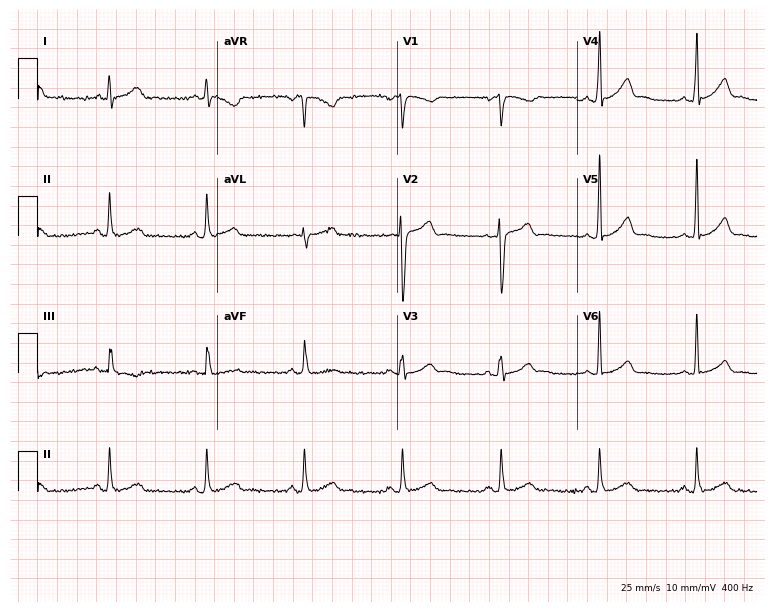
Electrocardiogram, a male patient, 38 years old. Of the six screened findings (first-degree AV block, right bundle branch block, left bundle branch block, sinus bradycardia, atrial fibrillation, sinus tachycardia), none is recorded.